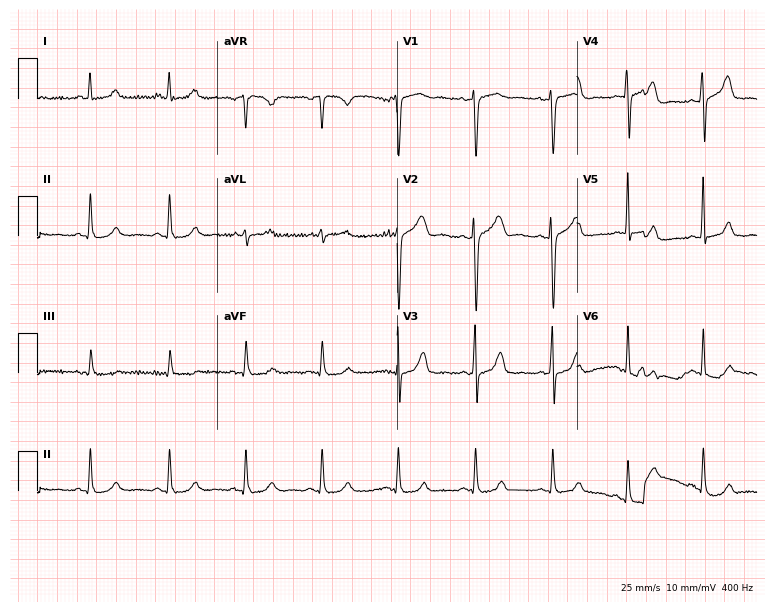
12-lead ECG from a woman, 36 years old (7.3-second recording at 400 Hz). No first-degree AV block, right bundle branch block, left bundle branch block, sinus bradycardia, atrial fibrillation or sinus tachycardia recorded for this tracing. Other findings, if any, are not listed.